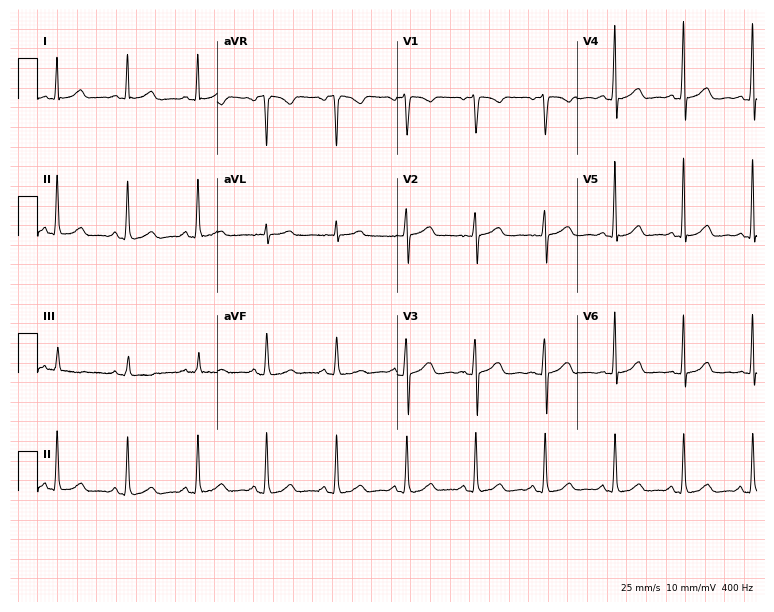
12-lead ECG from a 40-year-old female (7.3-second recording at 400 Hz). Recorded interpretation: within normal limits.